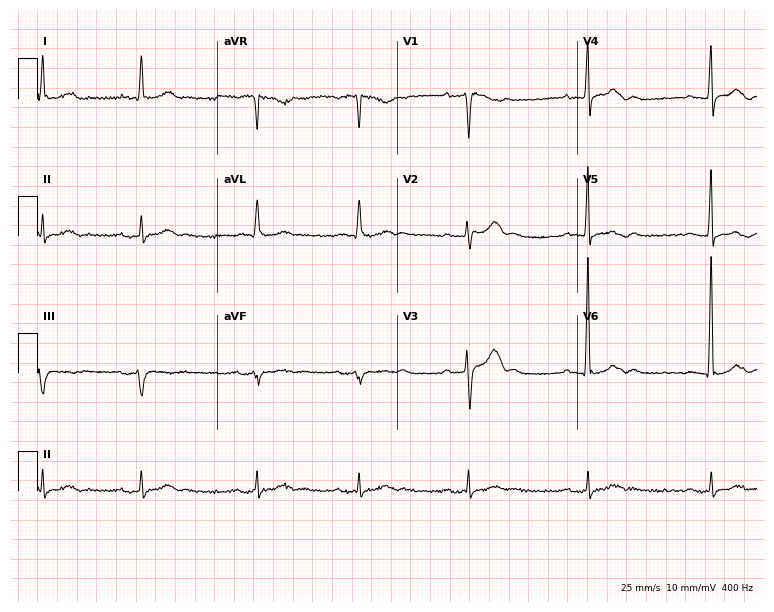
12-lead ECG from a 67-year-old male. Screened for six findings — first-degree AV block, right bundle branch block, left bundle branch block, sinus bradycardia, atrial fibrillation, sinus tachycardia — none is recorded. Findings outside these six are not listed.